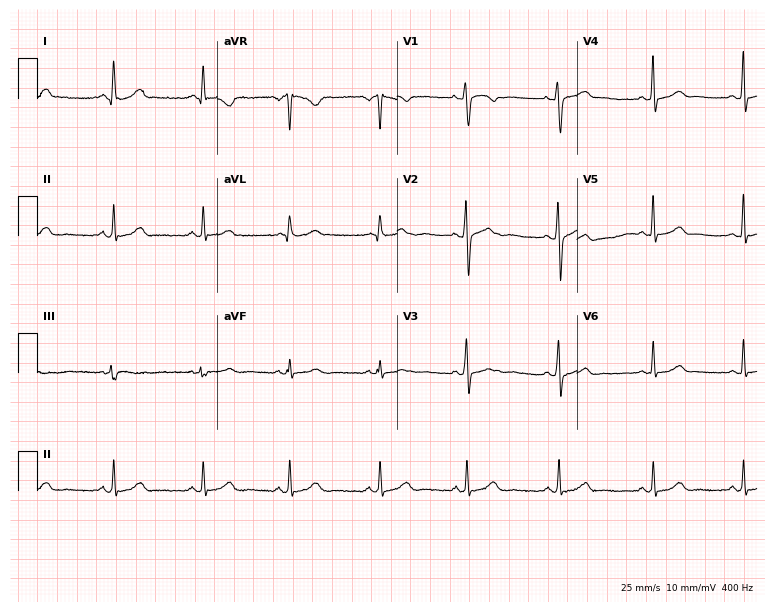
Electrocardiogram (7.3-second recording at 400 Hz), a 39-year-old woman. Overall reading on record: normal ECG.